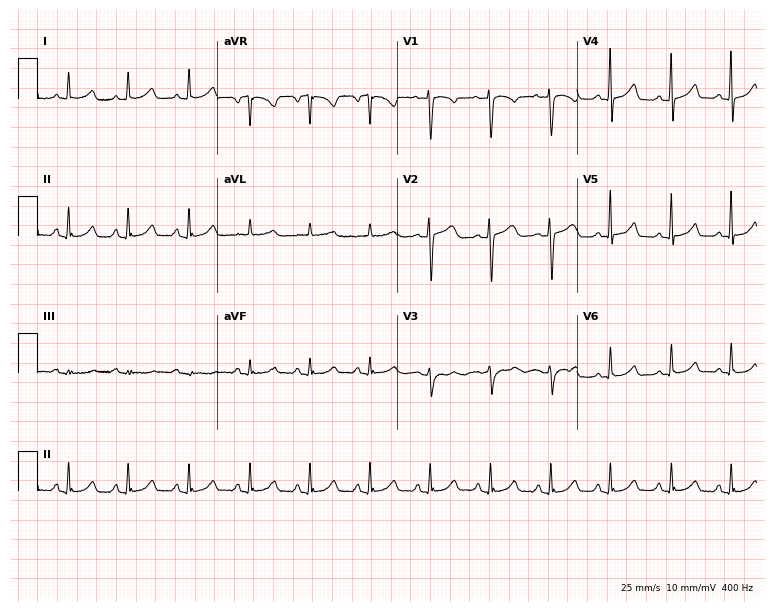
ECG (7.3-second recording at 400 Hz) — an 81-year-old female. Labelled as a normal ECG.